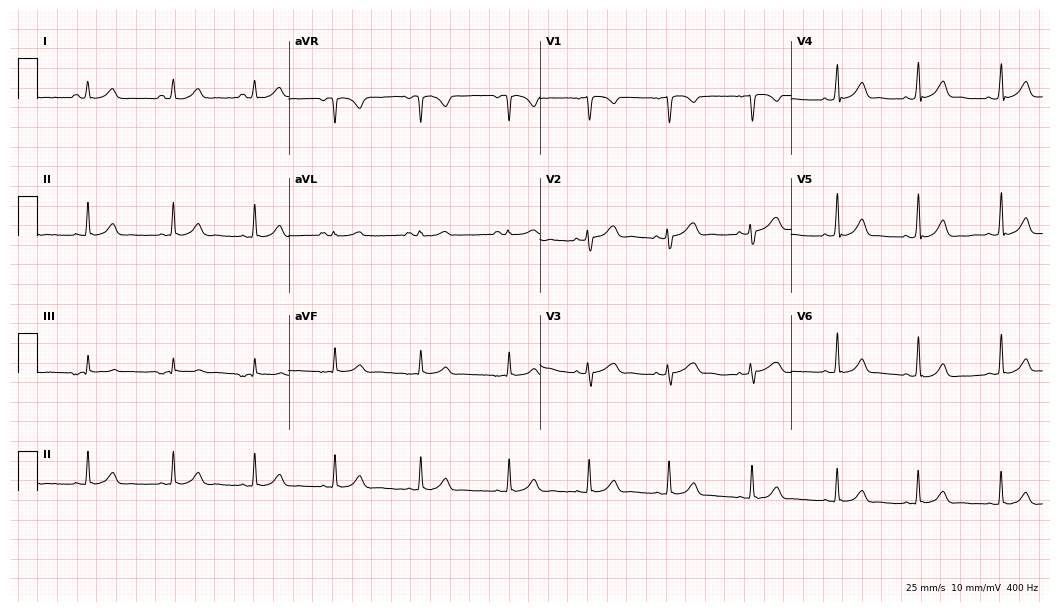
12-lead ECG (10.2-second recording at 400 Hz) from a 26-year-old female patient. Labelled as a normal ECG.